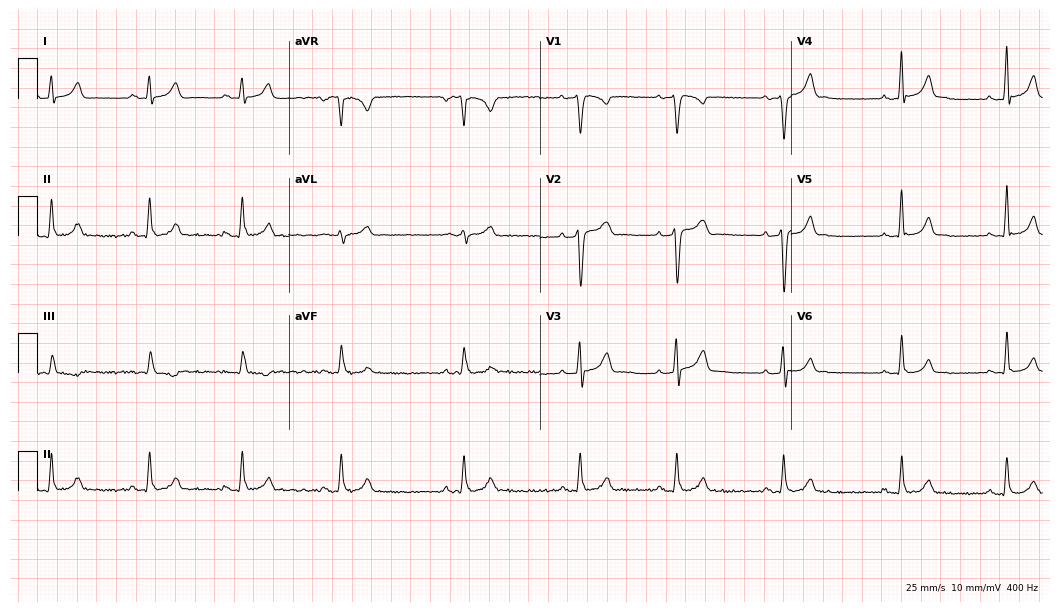
Electrocardiogram, a 32-year-old male patient. Of the six screened findings (first-degree AV block, right bundle branch block (RBBB), left bundle branch block (LBBB), sinus bradycardia, atrial fibrillation (AF), sinus tachycardia), none is recorded. Only these six findings were labelled.